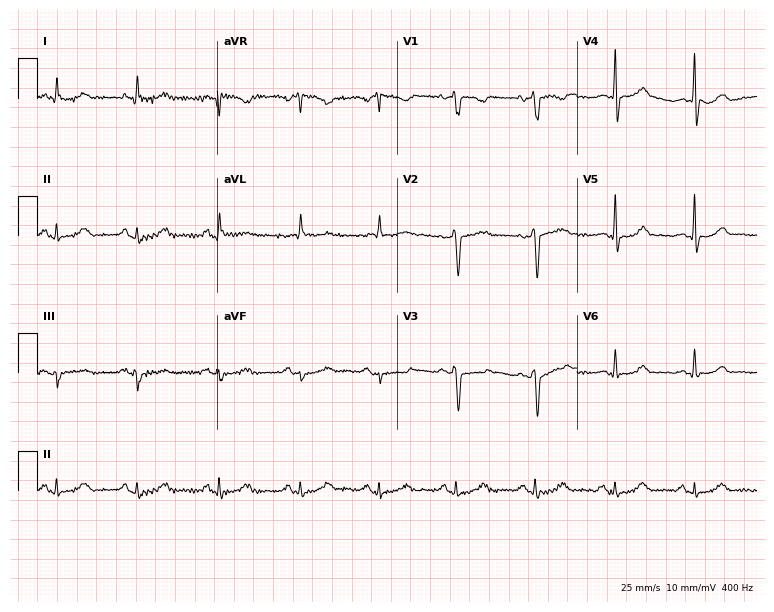
ECG — a 52-year-old female. Screened for six findings — first-degree AV block, right bundle branch block, left bundle branch block, sinus bradycardia, atrial fibrillation, sinus tachycardia — none is recorded.